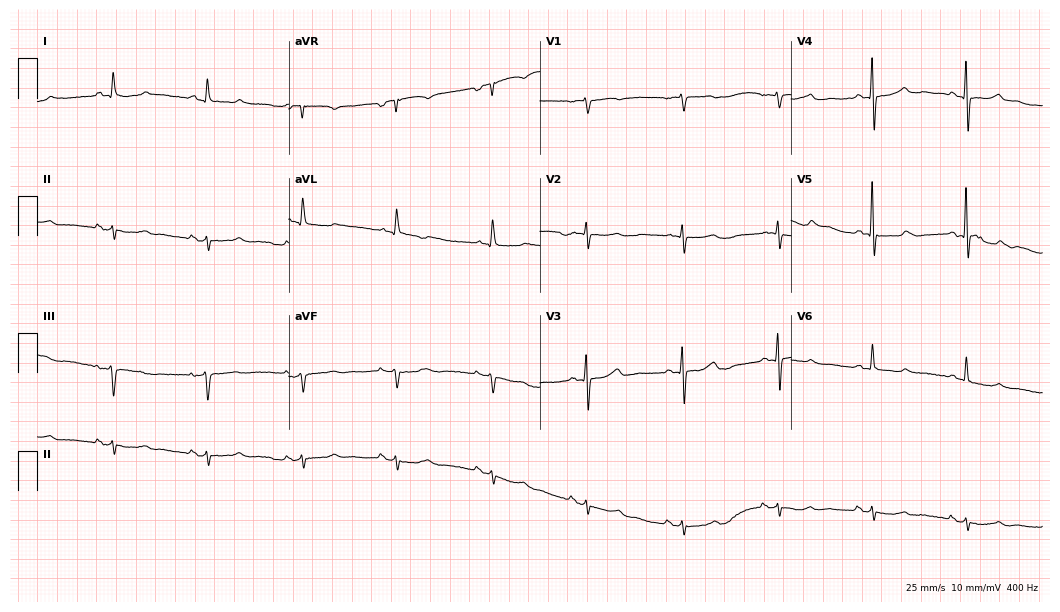
Resting 12-lead electrocardiogram (10.2-second recording at 400 Hz). Patient: a female, 84 years old. None of these six findings is recorded: first-degree AV block, right bundle branch block (RBBB), left bundle branch block (LBBB), sinus bradycardia, atrial fibrillation (AF), sinus tachycardia.